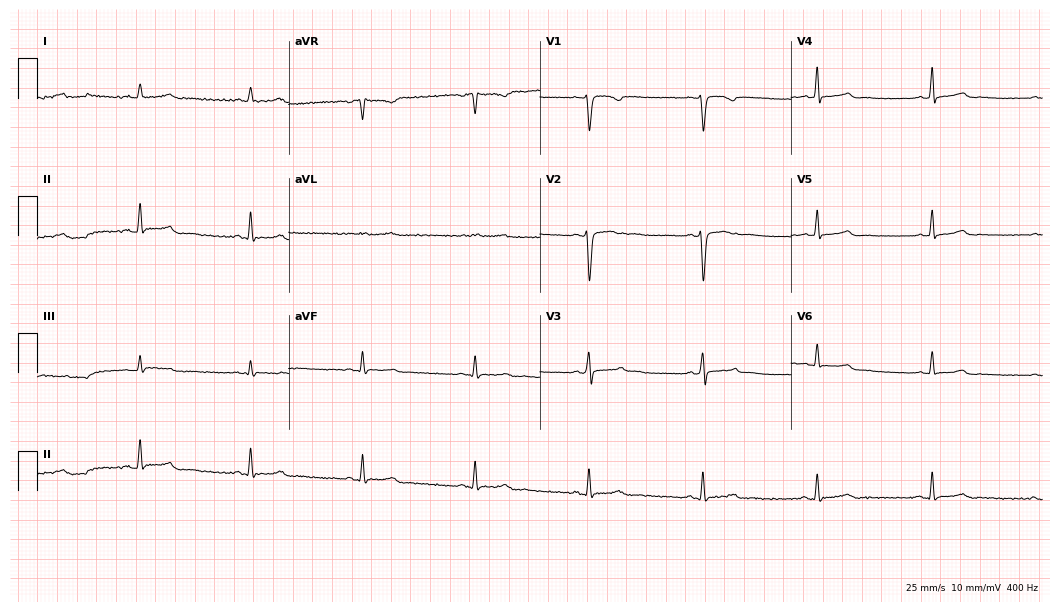
ECG (10.2-second recording at 400 Hz) — a 44-year-old woman. Labelled as a normal ECG.